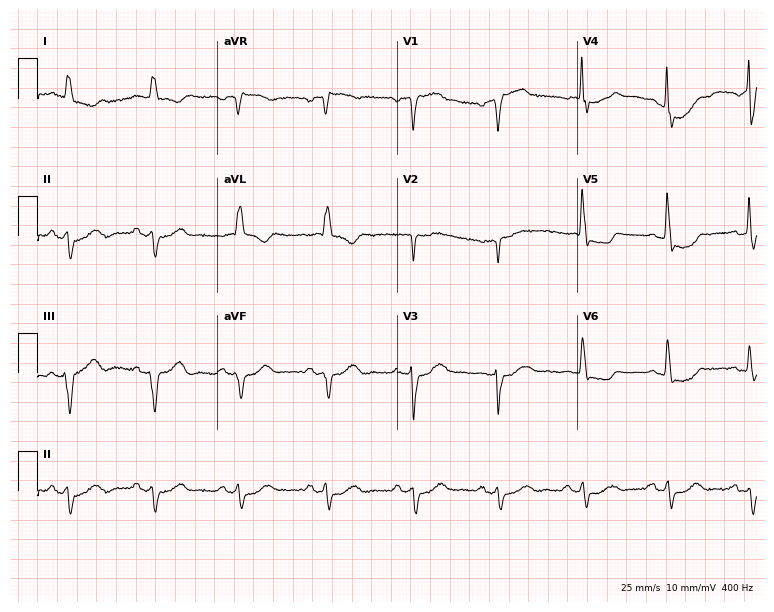
ECG (7.3-second recording at 400 Hz) — a 75-year-old male. Findings include left bundle branch block.